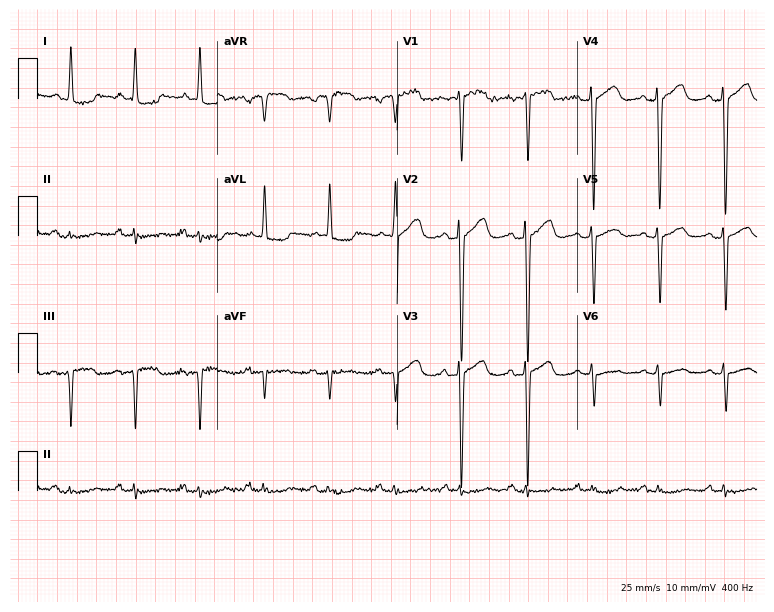
ECG (7.3-second recording at 400 Hz) — a 65-year-old female. Screened for six findings — first-degree AV block, right bundle branch block (RBBB), left bundle branch block (LBBB), sinus bradycardia, atrial fibrillation (AF), sinus tachycardia — none is recorded. Other findings, if any, are not listed.